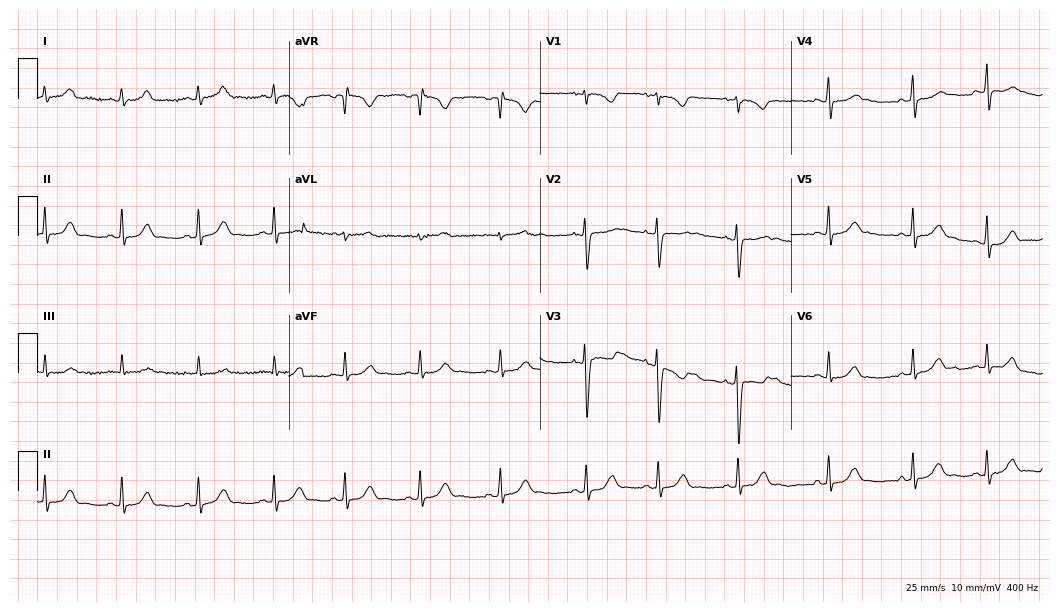
Electrocardiogram (10.2-second recording at 400 Hz), a 21-year-old woman. Overall reading on record: normal ECG.